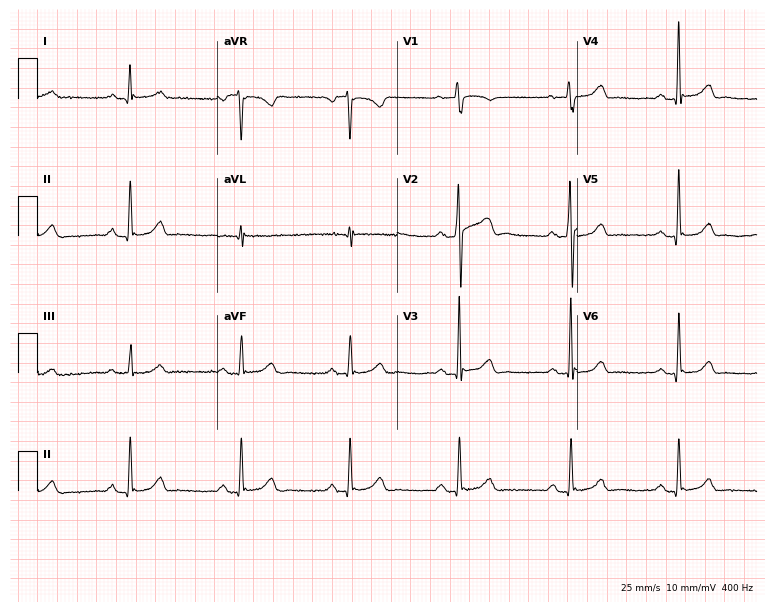
12-lead ECG from a 45-year-old man (7.3-second recording at 400 Hz). Recorded interpretation: within normal limits.